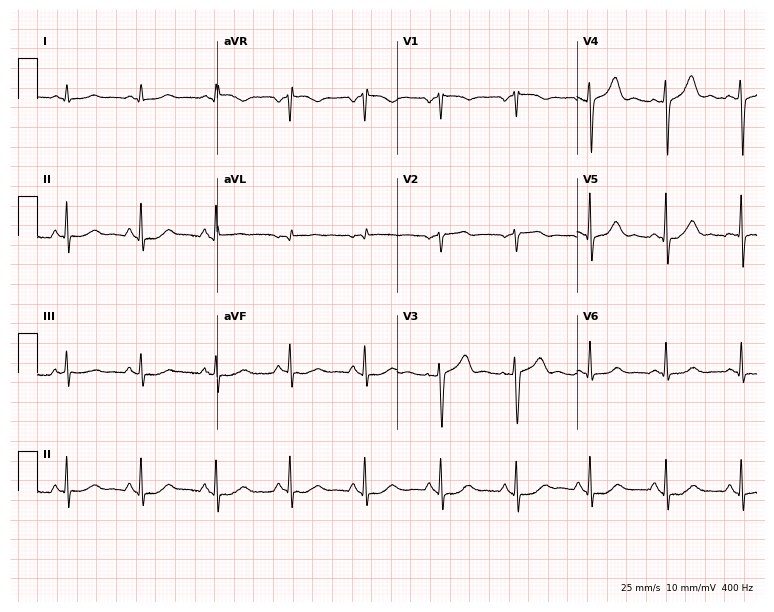
Standard 12-lead ECG recorded from a 74-year-old male patient (7.3-second recording at 400 Hz). None of these six findings is recorded: first-degree AV block, right bundle branch block (RBBB), left bundle branch block (LBBB), sinus bradycardia, atrial fibrillation (AF), sinus tachycardia.